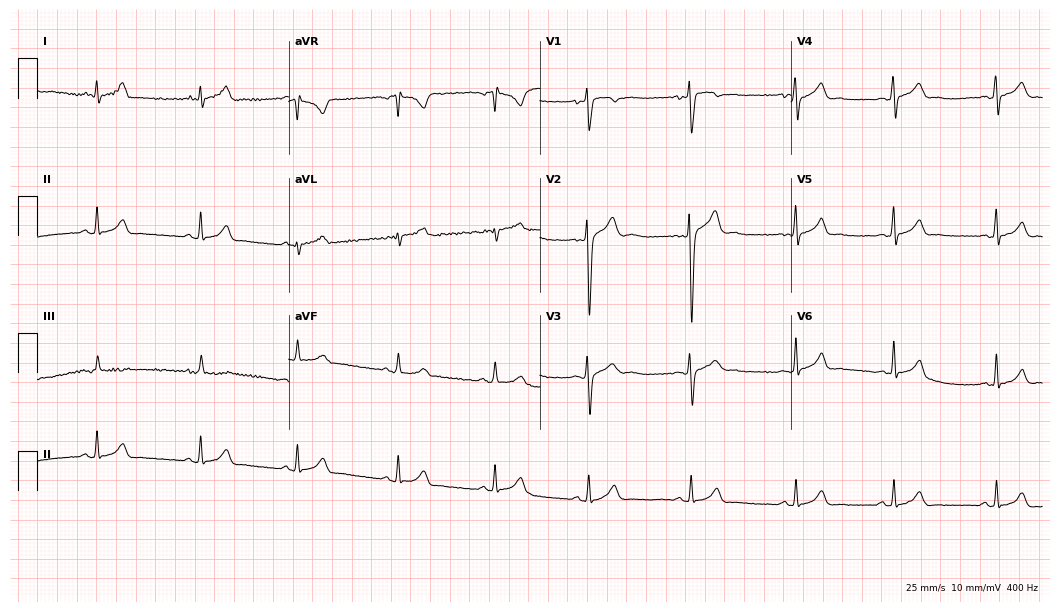
Standard 12-lead ECG recorded from a male patient, 22 years old (10.2-second recording at 400 Hz). Read as a normal ECG.